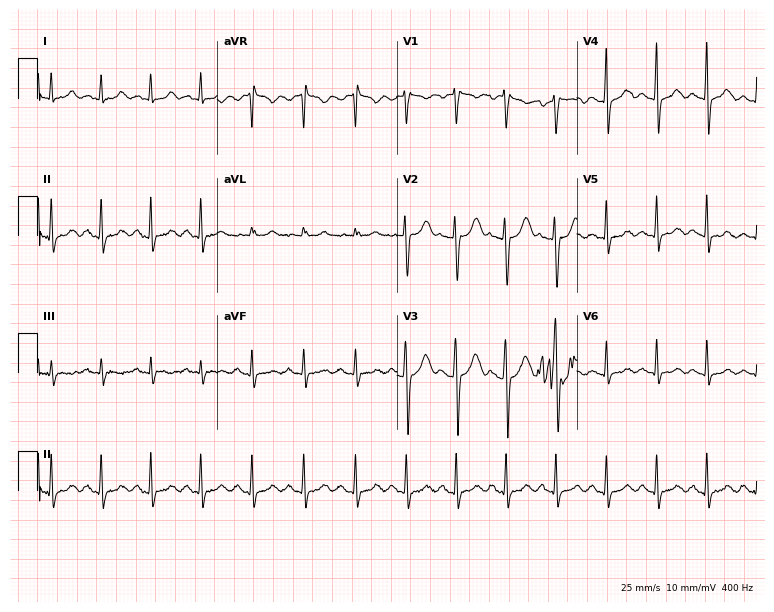
12-lead ECG from a 22-year-old woman (7.3-second recording at 400 Hz). Shows sinus tachycardia (a sinus rate of 100 beats per minute or more).